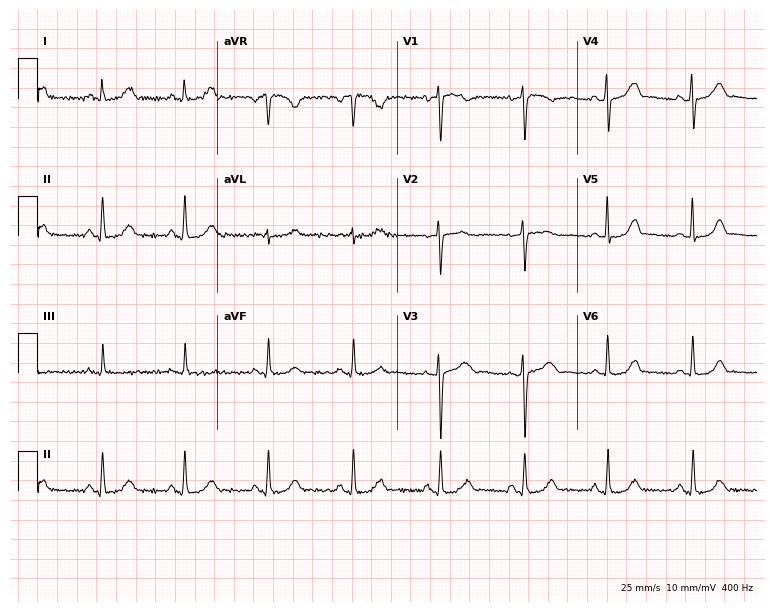
ECG (7.3-second recording at 400 Hz) — a woman, 32 years old. Screened for six findings — first-degree AV block, right bundle branch block, left bundle branch block, sinus bradycardia, atrial fibrillation, sinus tachycardia — none is recorded.